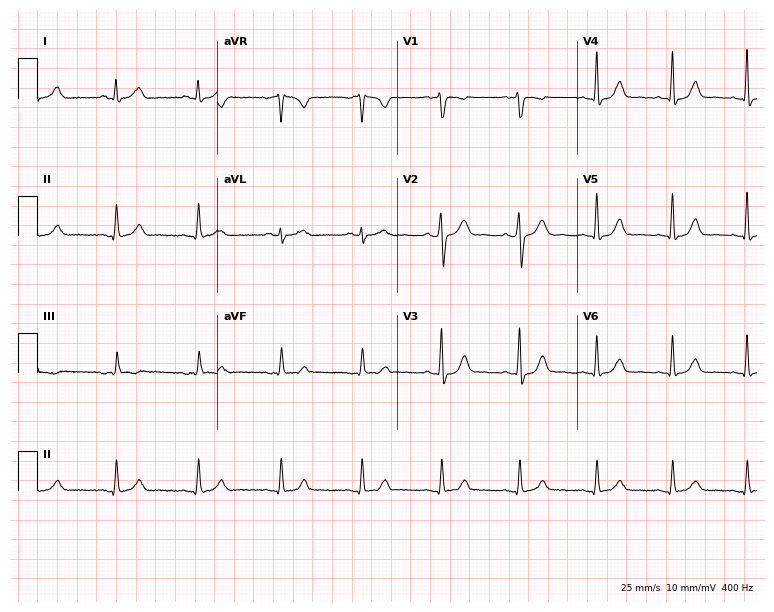
12-lead ECG (7.3-second recording at 400 Hz) from a 58-year-old male patient. Labelled as a normal ECG.